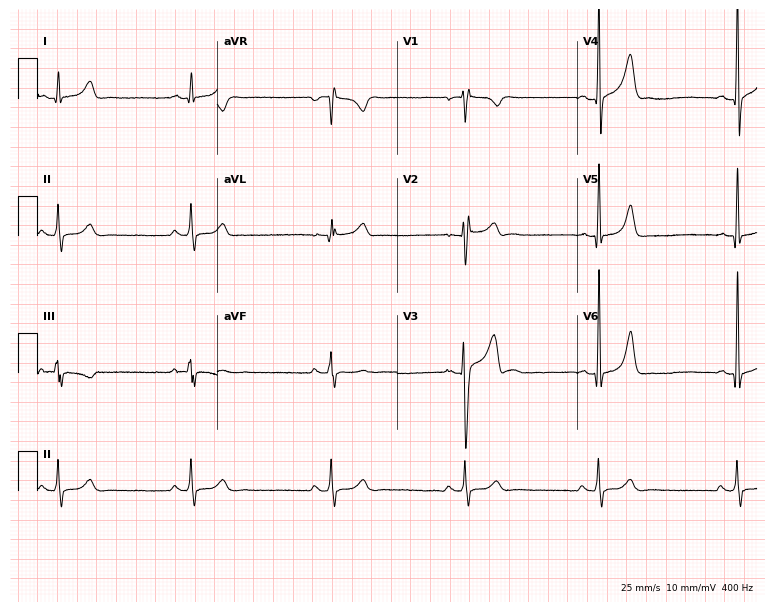
12-lead ECG from a man, 19 years old. Shows sinus bradycardia (a sinus rate of 50 beats per minute or less).